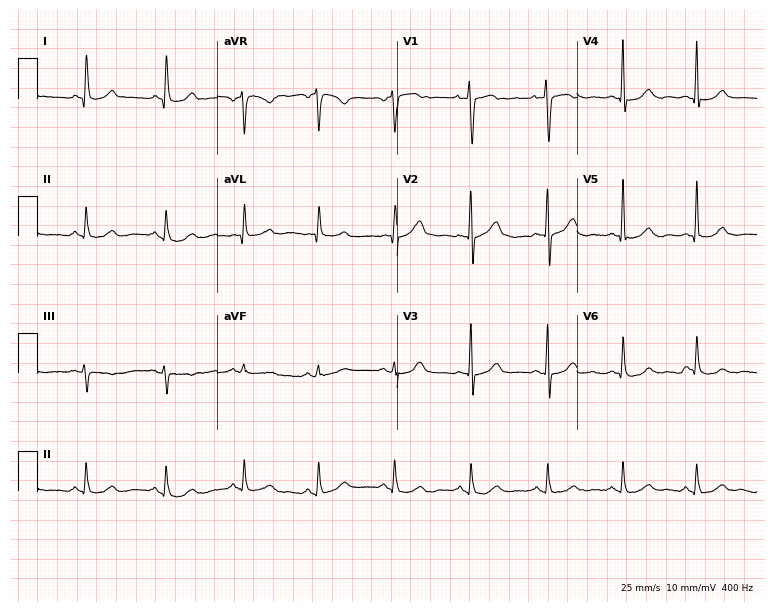
ECG — a 56-year-old female patient. Labelled as a normal ECG.